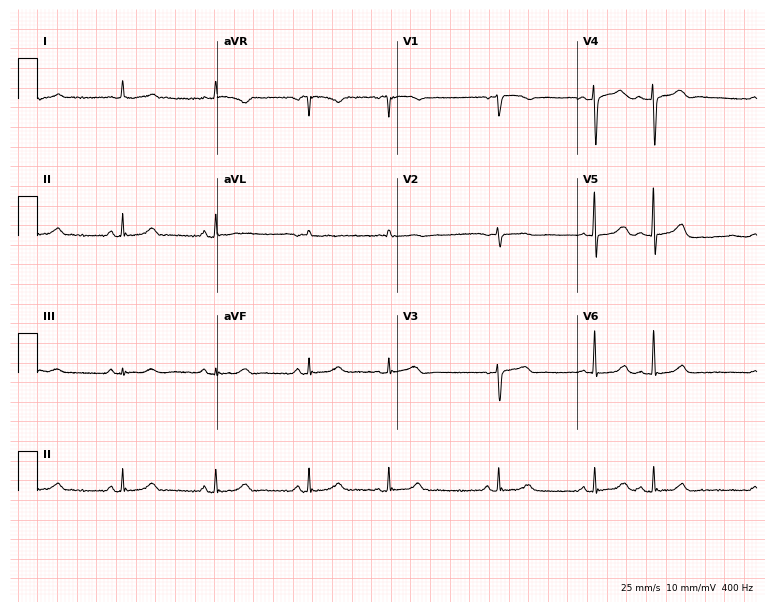
Electrocardiogram (7.3-second recording at 400 Hz), a 68-year-old female. Overall reading on record: normal ECG.